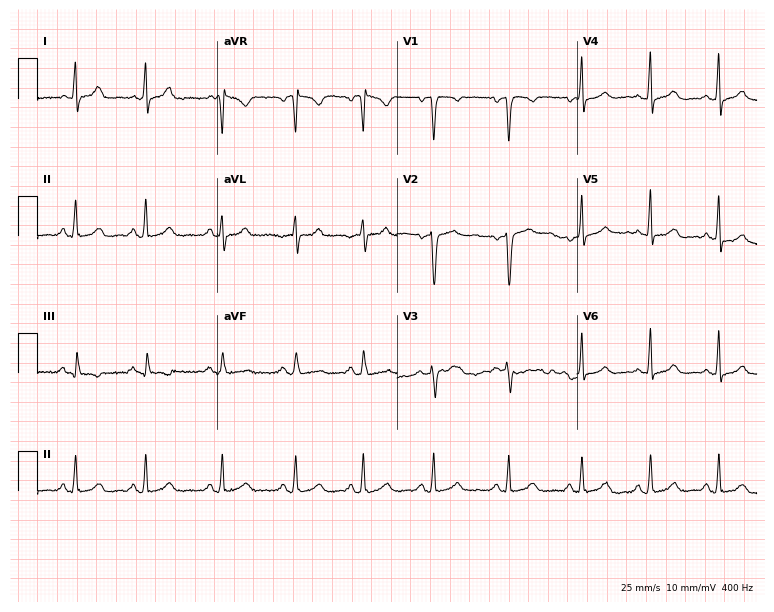
Standard 12-lead ECG recorded from a 36-year-old female patient. None of these six findings is recorded: first-degree AV block, right bundle branch block (RBBB), left bundle branch block (LBBB), sinus bradycardia, atrial fibrillation (AF), sinus tachycardia. Other findings, if any, are not listed.